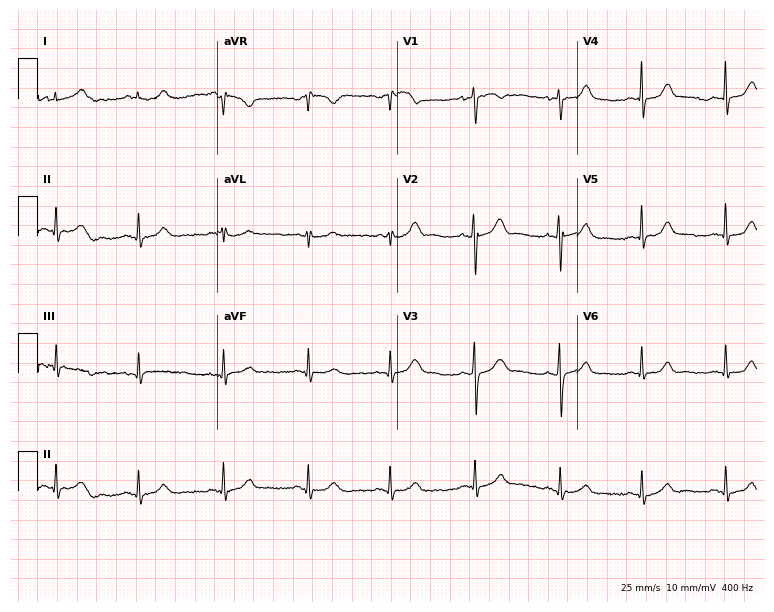
12-lead ECG from a 24-year-old woman. Screened for six findings — first-degree AV block, right bundle branch block, left bundle branch block, sinus bradycardia, atrial fibrillation, sinus tachycardia — none is recorded.